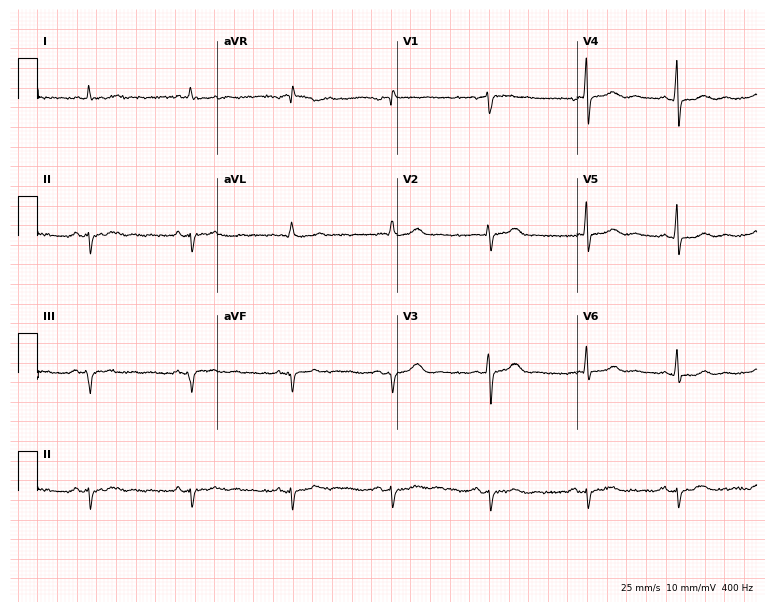
ECG (7.3-second recording at 400 Hz) — a male, 72 years old. Screened for six findings — first-degree AV block, right bundle branch block, left bundle branch block, sinus bradycardia, atrial fibrillation, sinus tachycardia — none is recorded. Other findings, if any, are not listed.